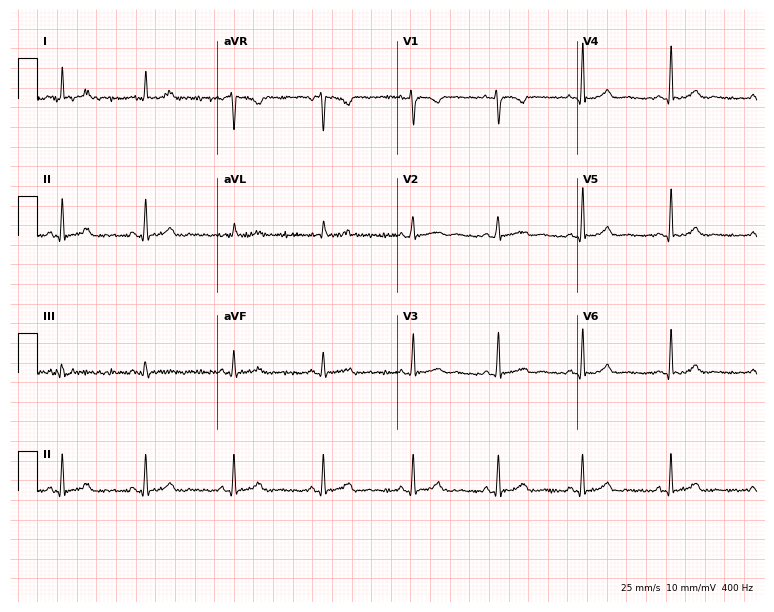
Electrocardiogram, a 28-year-old female patient. Of the six screened findings (first-degree AV block, right bundle branch block (RBBB), left bundle branch block (LBBB), sinus bradycardia, atrial fibrillation (AF), sinus tachycardia), none is recorded.